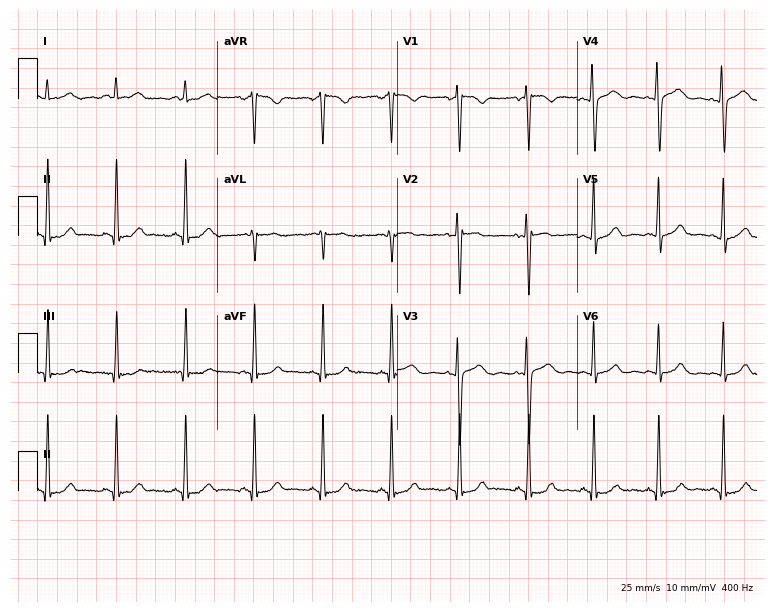
Standard 12-lead ECG recorded from a 25-year-old female patient. None of these six findings is recorded: first-degree AV block, right bundle branch block (RBBB), left bundle branch block (LBBB), sinus bradycardia, atrial fibrillation (AF), sinus tachycardia.